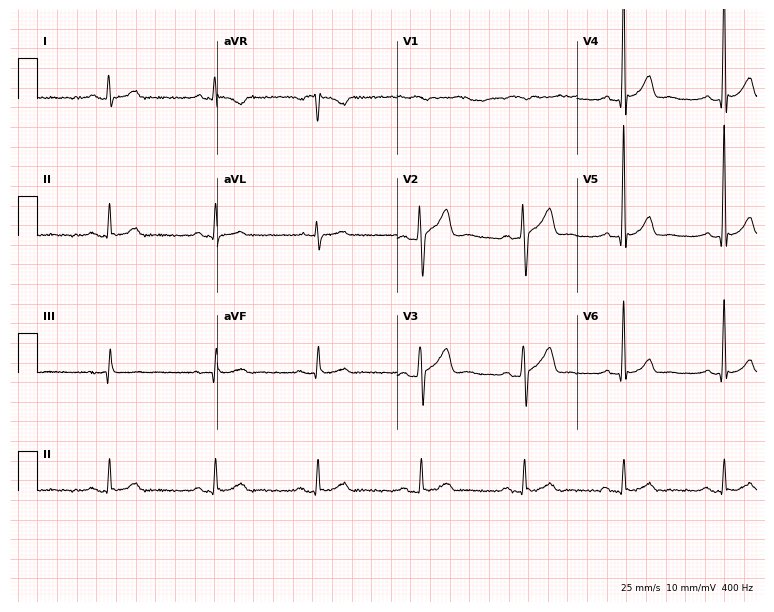
12-lead ECG from a 42-year-old male. Labelled as a normal ECG.